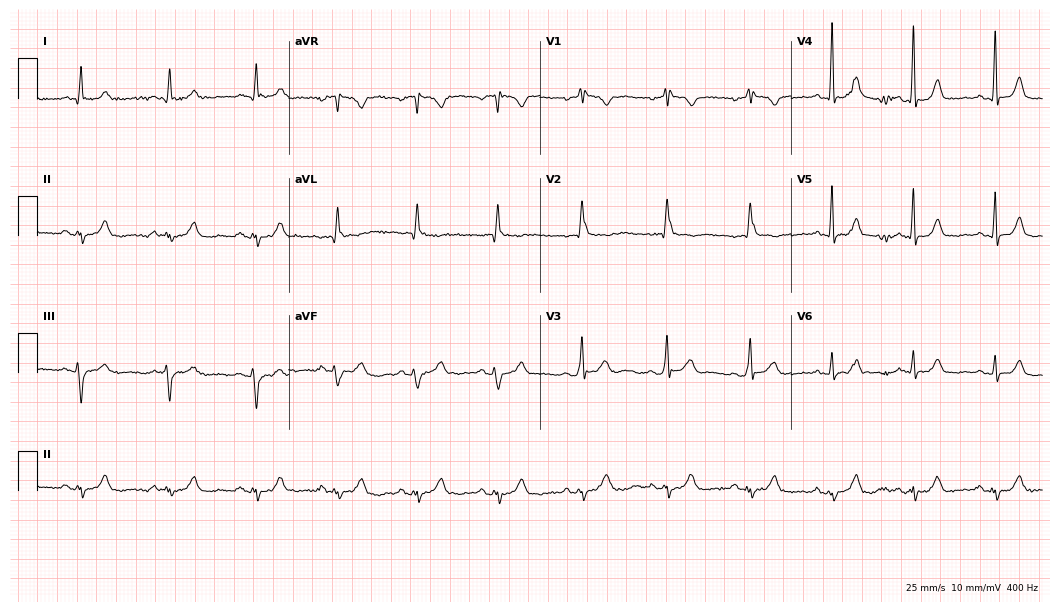
Electrocardiogram (10.2-second recording at 400 Hz), a man, 59 years old. Interpretation includes right bundle branch block (RBBB).